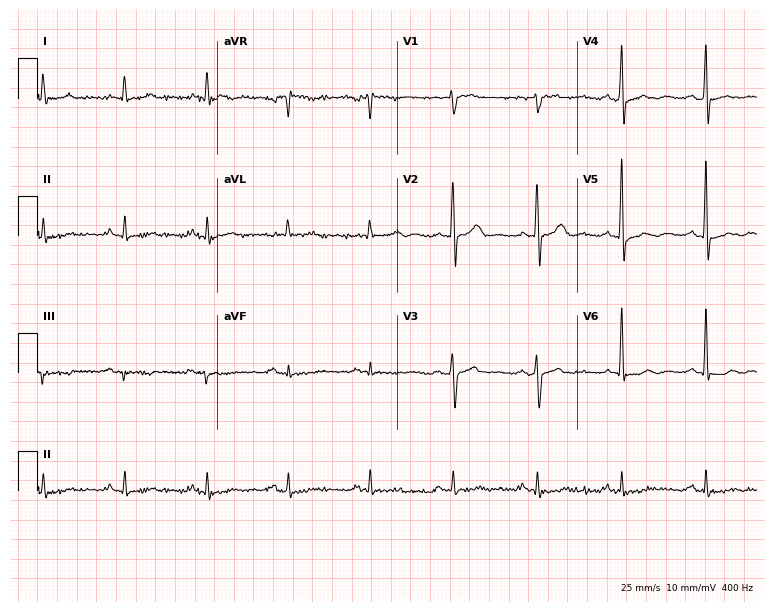
Electrocardiogram, a 66-year-old male. Overall reading on record: normal ECG.